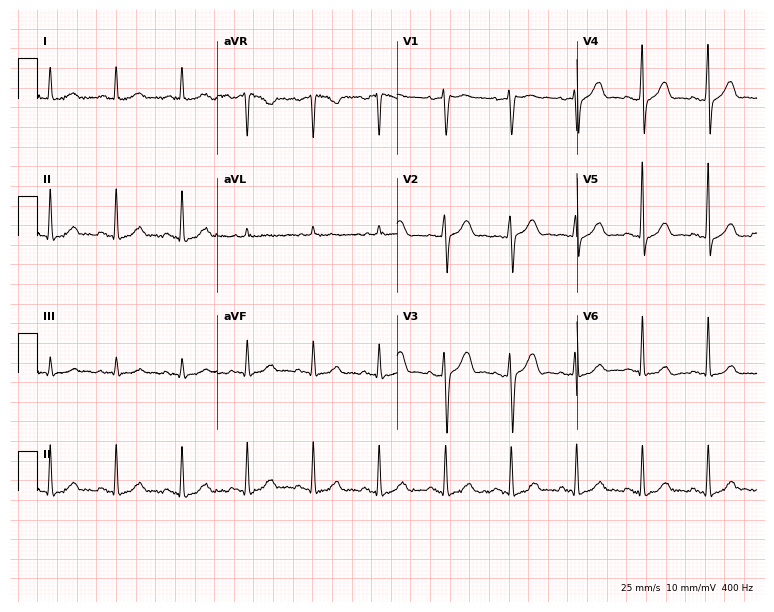
Electrocardiogram (7.3-second recording at 400 Hz), a male, 58 years old. Overall reading on record: normal ECG.